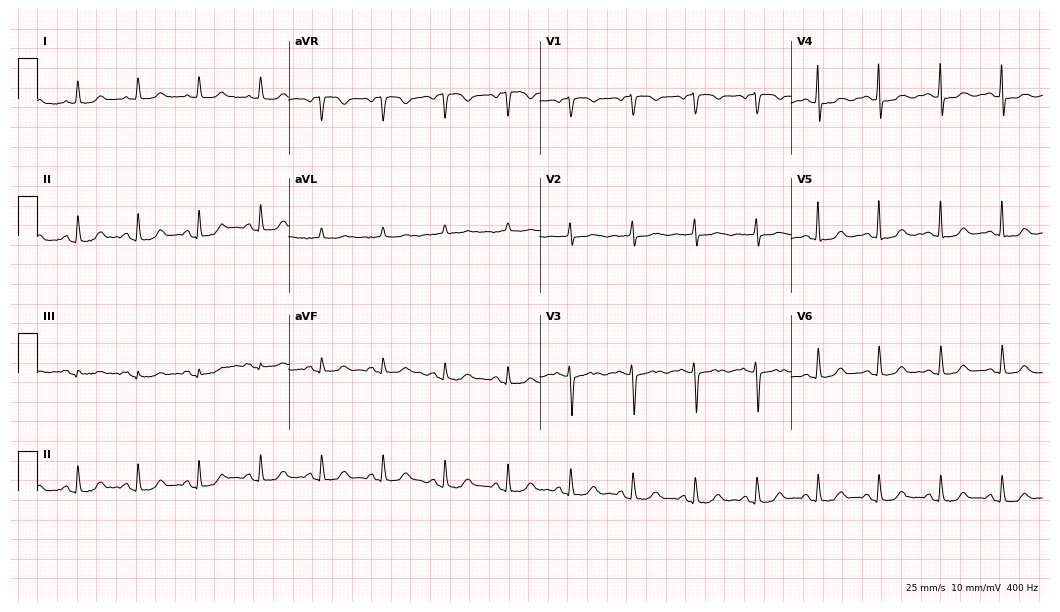
12-lead ECG from a female, 85 years old. Labelled as a normal ECG.